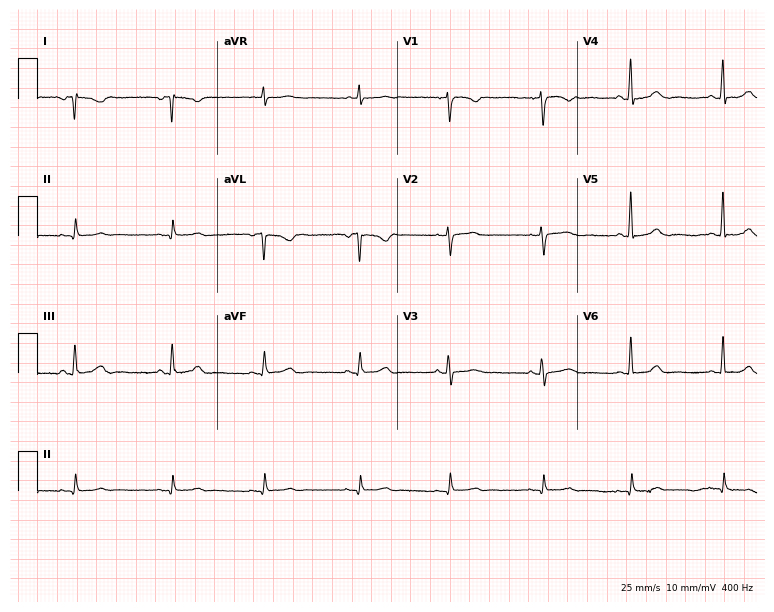
Standard 12-lead ECG recorded from a 78-year-old female. None of these six findings is recorded: first-degree AV block, right bundle branch block (RBBB), left bundle branch block (LBBB), sinus bradycardia, atrial fibrillation (AF), sinus tachycardia. Findings outside these six are not listed.